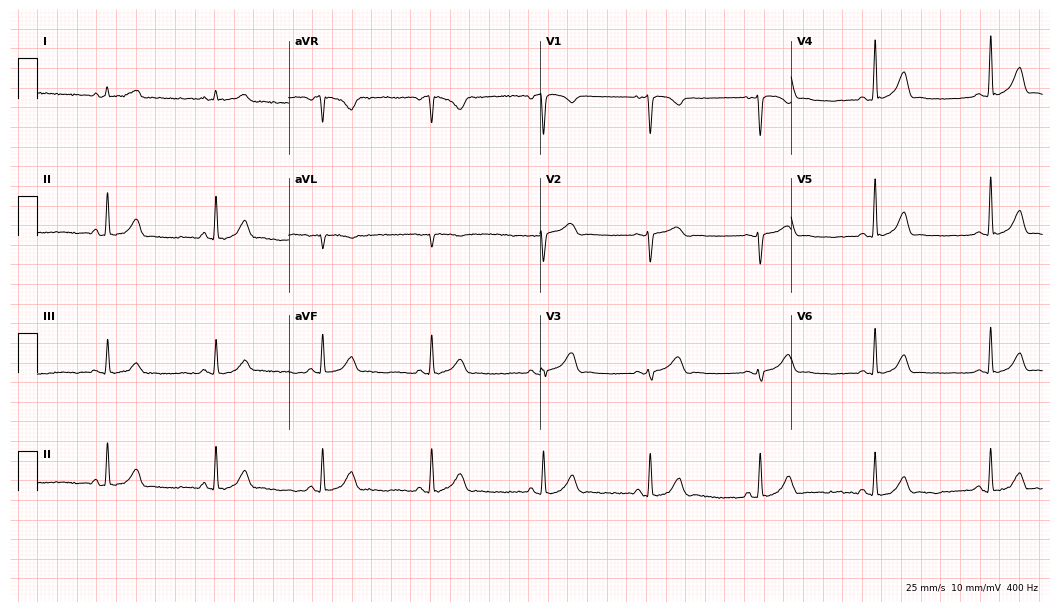
Standard 12-lead ECG recorded from a 37-year-old female patient. Read as a normal ECG.